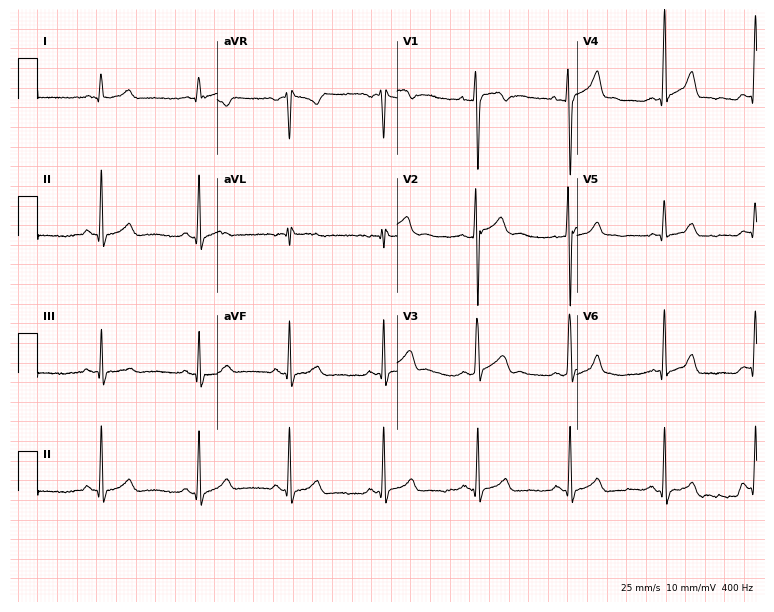
12-lead ECG from a 30-year-old man. Labelled as a normal ECG.